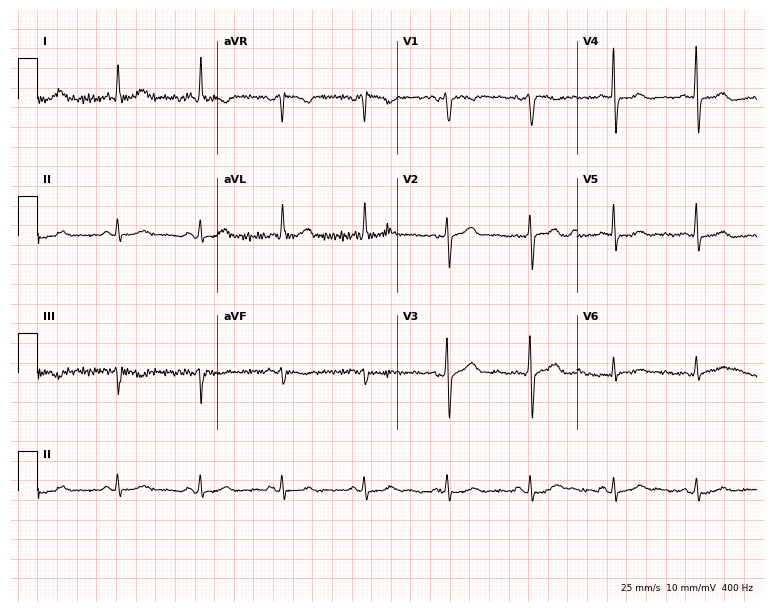
Electrocardiogram (7.3-second recording at 400 Hz), a 64-year-old woman. Overall reading on record: normal ECG.